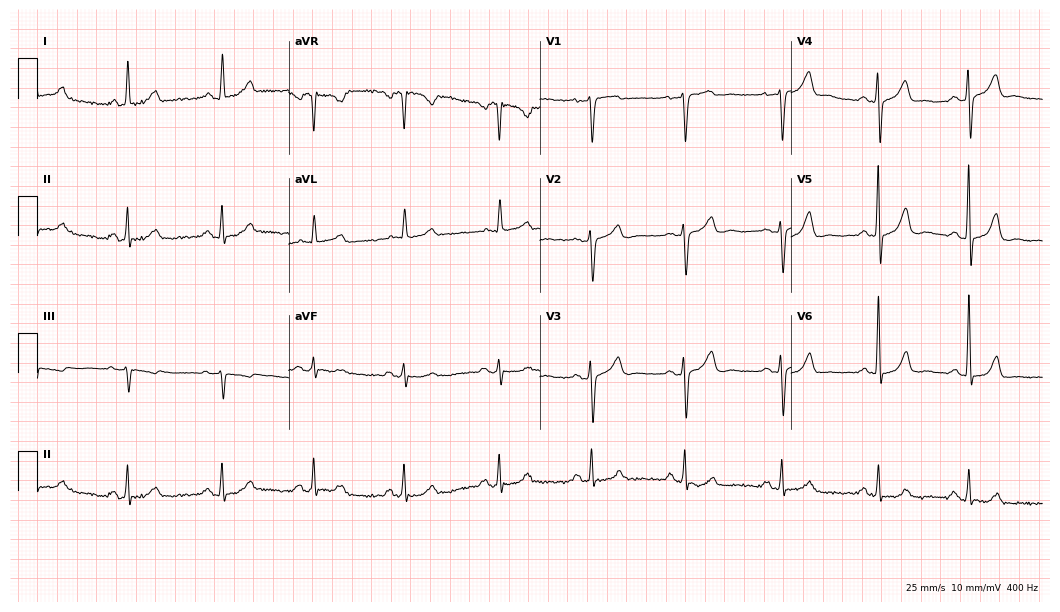
Electrocardiogram (10.2-second recording at 400 Hz), a 47-year-old female patient. Overall reading on record: normal ECG.